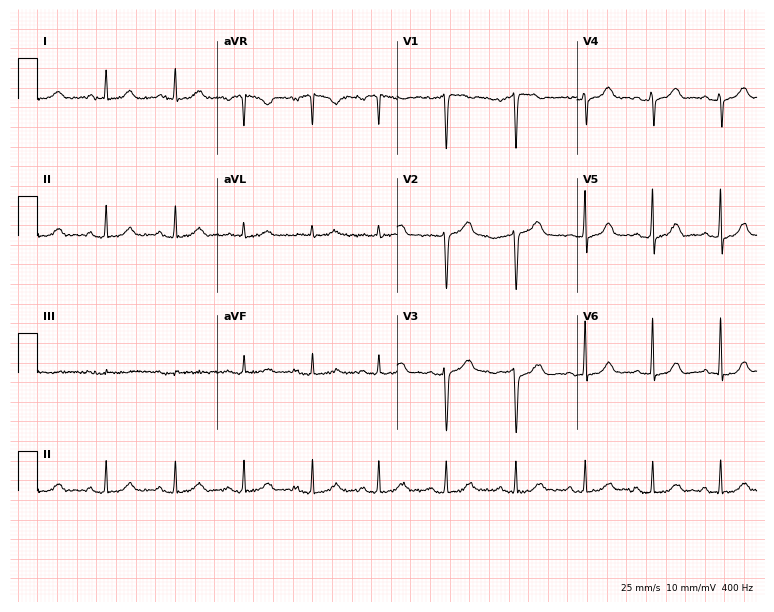
12-lead ECG from a 52-year-old female (7.3-second recording at 400 Hz). No first-degree AV block, right bundle branch block, left bundle branch block, sinus bradycardia, atrial fibrillation or sinus tachycardia recorded for this tracing. Other findings, if any, are not listed.